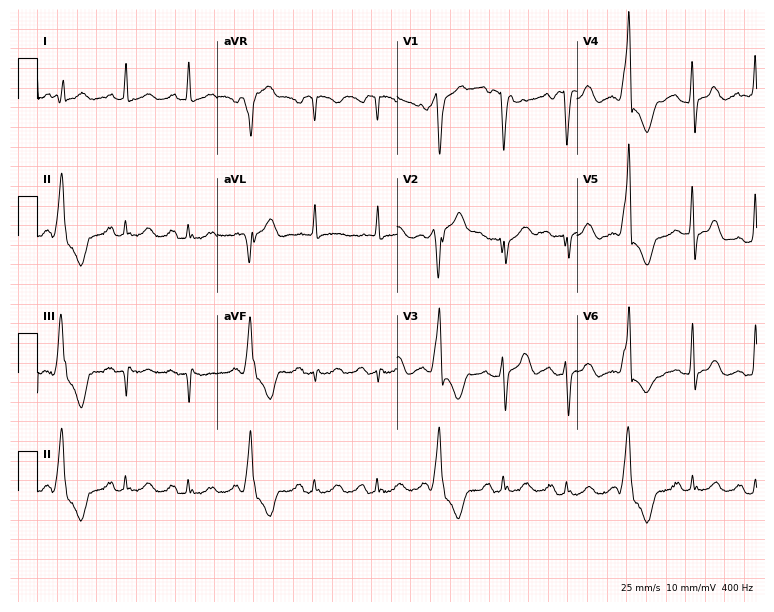
Standard 12-lead ECG recorded from a male patient, 76 years old (7.3-second recording at 400 Hz). None of these six findings is recorded: first-degree AV block, right bundle branch block, left bundle branch block, sinus bradycardia, atrial fibrillation, sinus tachycardia. Only these six findings were labelled.